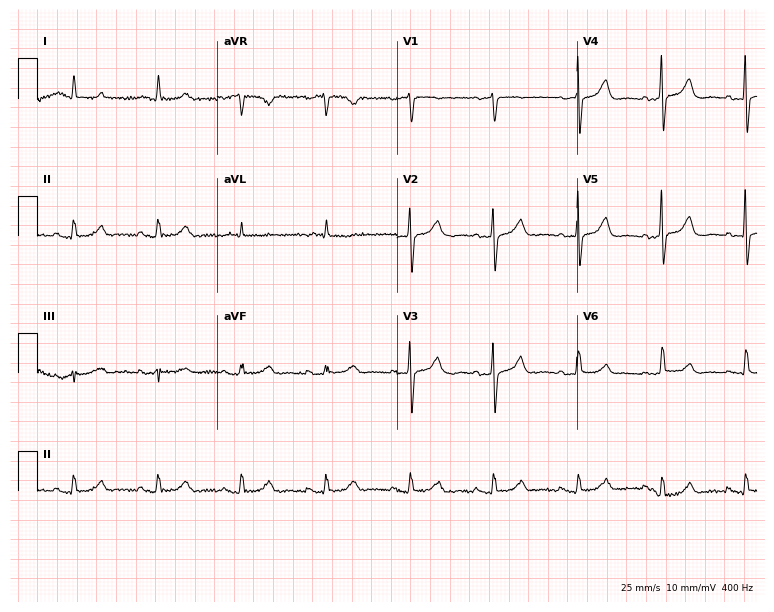
Resting 12-lead electrocardiogram (7.3-second recording at 400 Hz). Patient: a female, 81 years old. None of these six findings is recorded: first-degree AV block, right bundle branch block, left bundle branch block, sinus bradycardia, atrial fibrillation, sinus tachycardia. Findings outside these six are not listed.